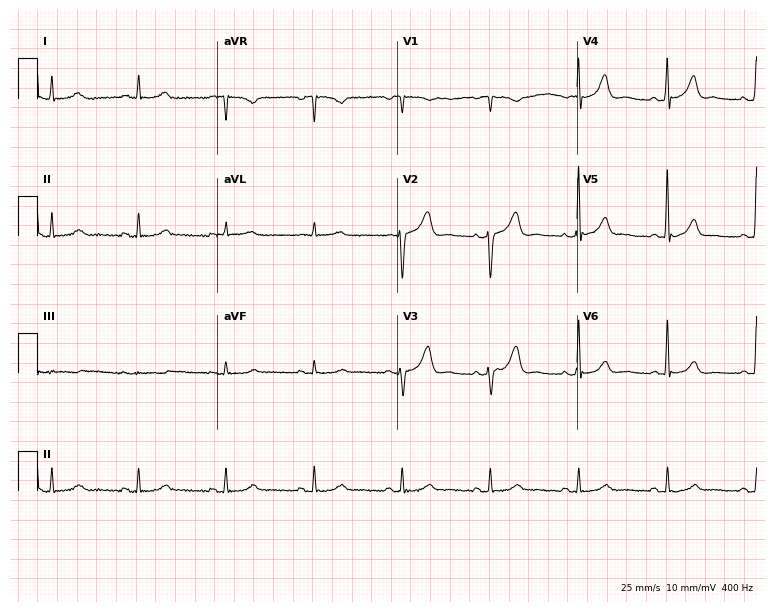
Standard 12-lead ECG recorded from a male patient, 79 years old. None of these six findings is recorded: first-degree AV block, right bundle branch block (RBBB), left bundle branch block (LBBB), sinus bradycardia, atrial fibrillation (AF), sinus tachycardia. Only these six findings were labelled.